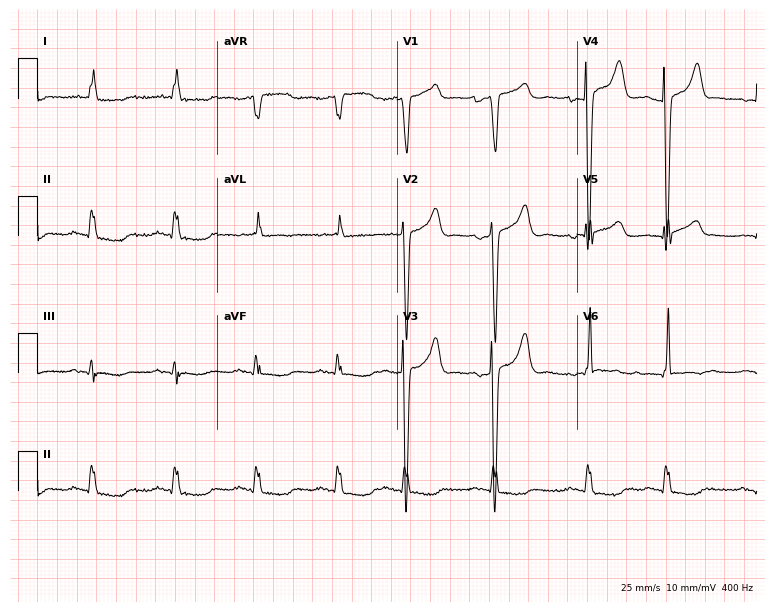
12-lead ECG (7.3-second recording at 400 Hz) from an 83-year-old male patient. Screened for six findings — first-degree AV block, right bundle branch block, left bundle branch block, sinus bradycardia, atrial fibrillation, sinus tachycardia — none is recorded. Other findings, if any, are not listed.